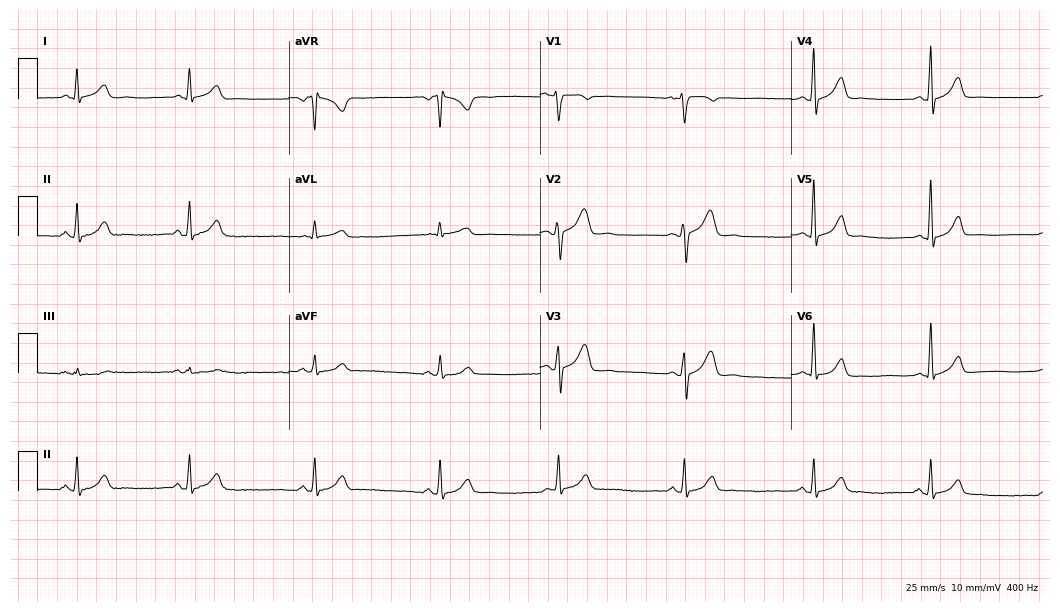
12-lead ECG from a 40-year-old female. No first-degree AV block, right bundle branch block, left bundle branch block, sinus bradycardia, atrial fibrillation or sinus tachycardia recorded for this tracing. Only these six findings were labelled.